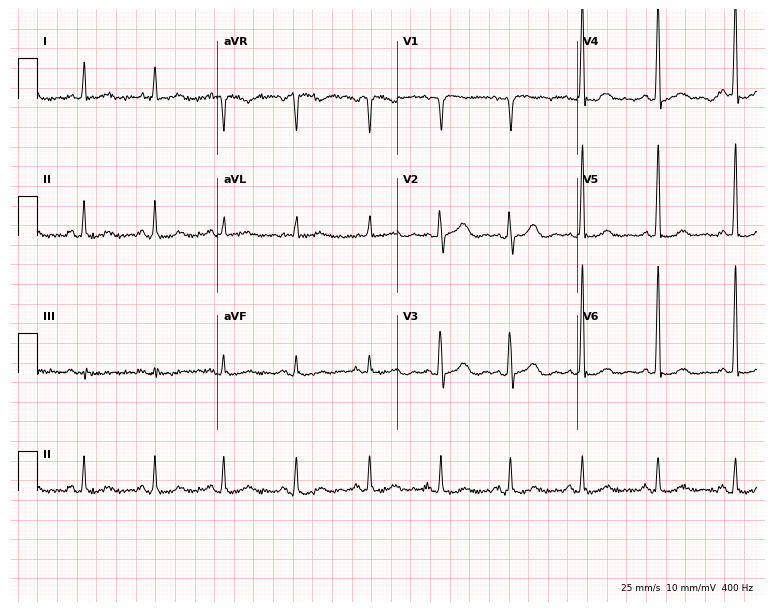
ECG — a female, 62 years old. Screened for six findings — first-degree AV block, right bundle branch block, left bundle branch block, sinus bradycardia, atrial fibrillation, sinus tachycardia — none is recorded. Other findings, if any, are not listed.